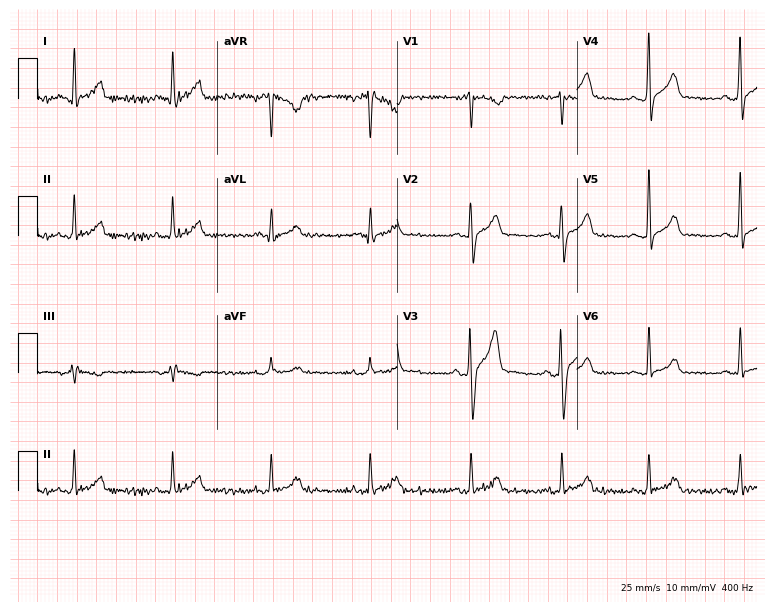
Standard 12-lead ECG recorded from a 31-year-old male patient (7.3-second recording at 400 Hz). Read as a normal ECG.